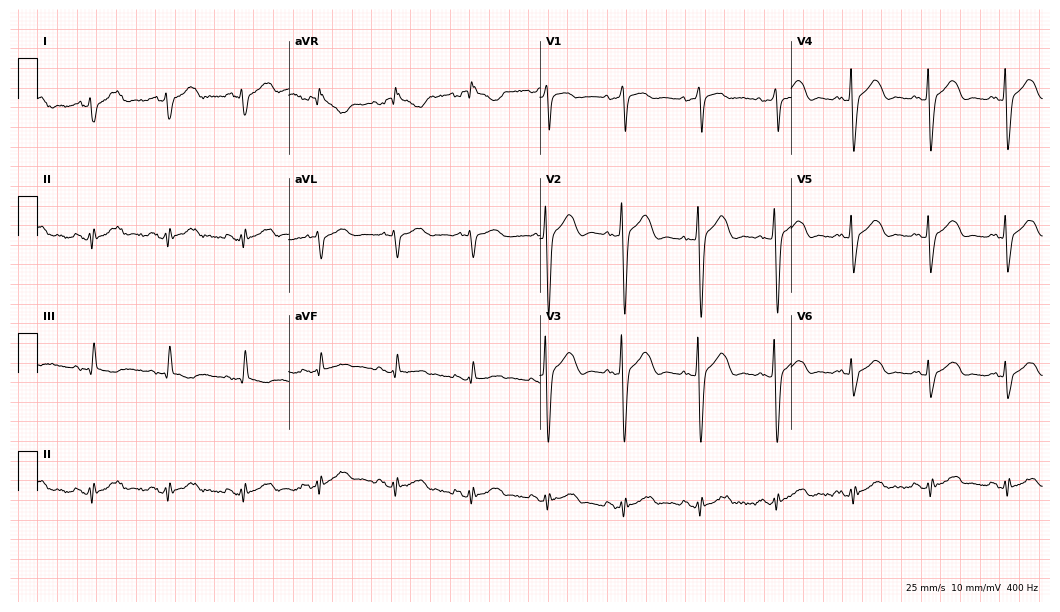
ECG — an 82-year-old woman. Screened for six findings — first-degree AV block, right bundle branch block (RBBB), left bundle branch block (LBBB), sinus bradycardia, atrial fibrillation (AF), sinus tachycardia — none is recorded.